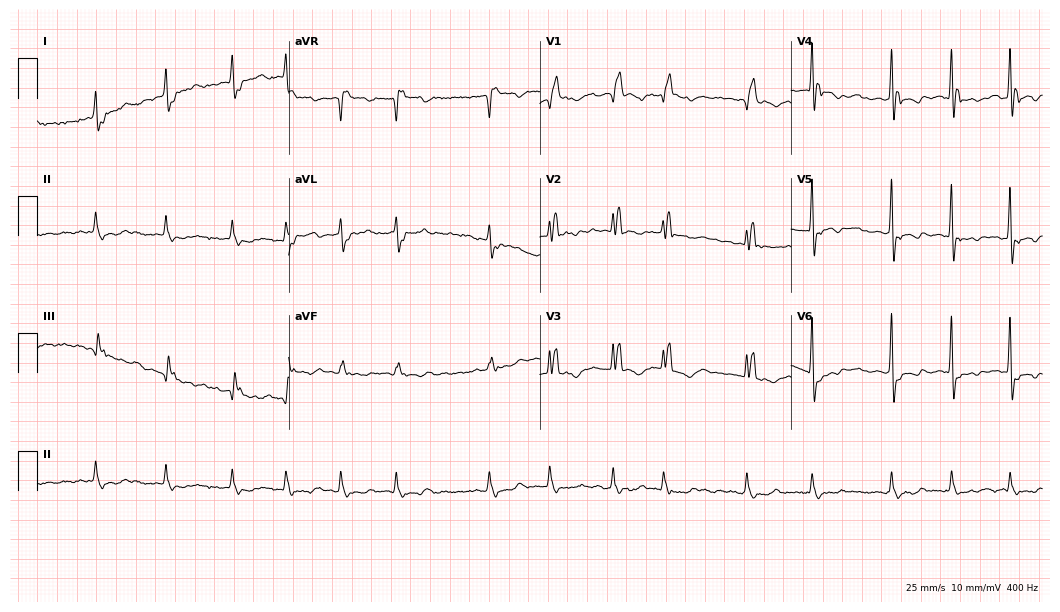
Electrocardiogram (10.2-second recording at 400 Hz), a female, 76 years old. Interpretation includes right bundle branch block, atrial fibrillation.